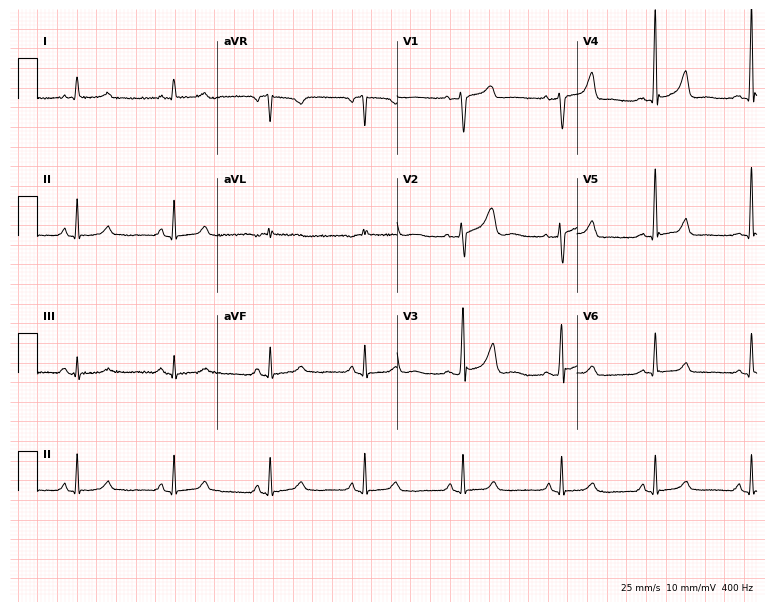
Electrocardiogram, a 57-year-old male. Of the six screened findings (first-degree AV block, right bundle branch block, left bundle branch block, sinus bradycardia, atrial fibrillation, sinus tachycardia), none is recorded.